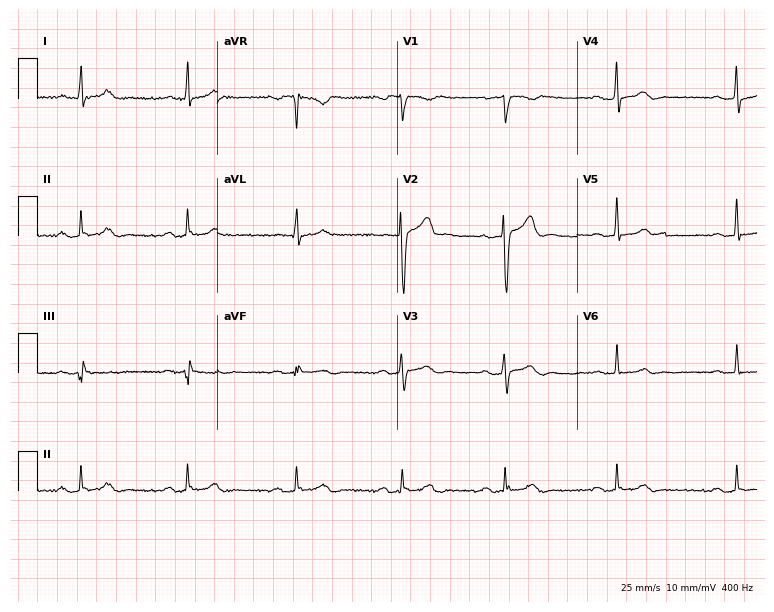
Resting 12-lead electrocardiogram. Patient: a 31-year-old man. None of these six findings is recorded: first-degree AV block, right bundle branch block, left bundle branch block, sinus bradycardia, atrial fibrillation, sinus tachycardia.